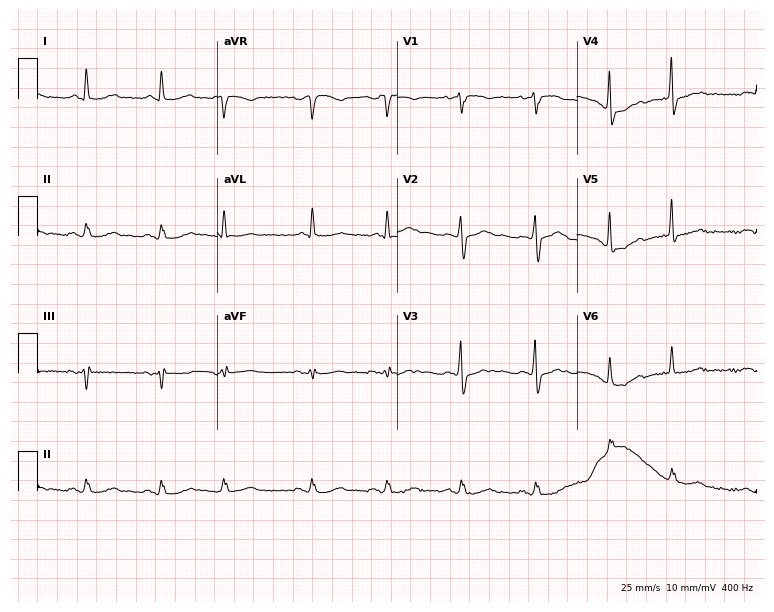
Electrocardiogram, a 76-year-old male patient. Of the six screened findings (first-degree AV block, right bundle branch block, left bundle branch block, sinus bradycardia, atrial fibrillation, sinus tachycardia), none is recorded. Findings outside these six are not listed.